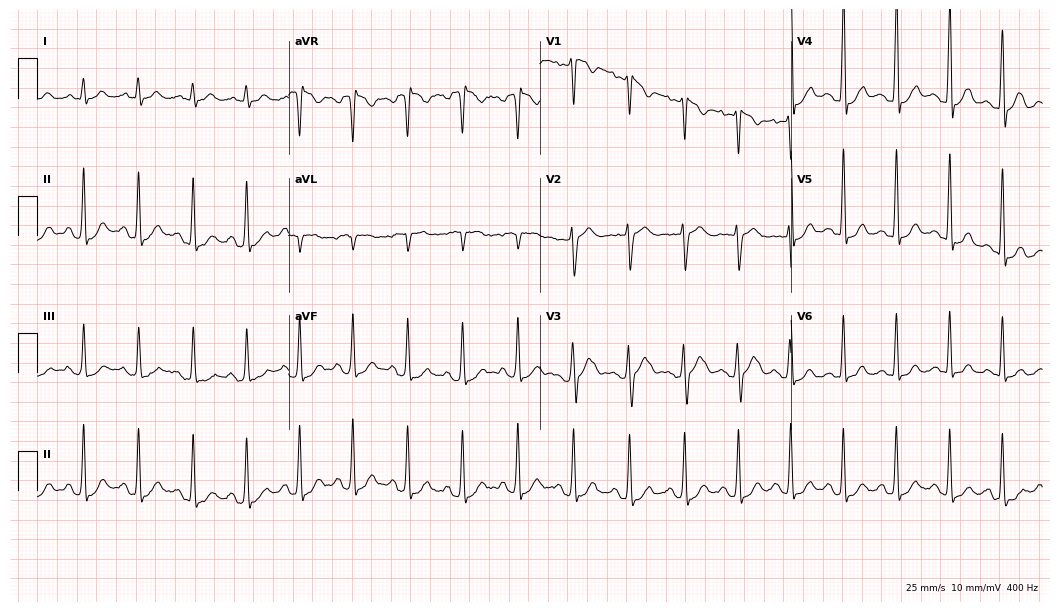
Standard 12-lead ECG recorded from a 34-year-old male (10.2-second recording at 400 Hz). The tracing shows sinus tachycardia (a sinus rate of 100 beats per minute or more).